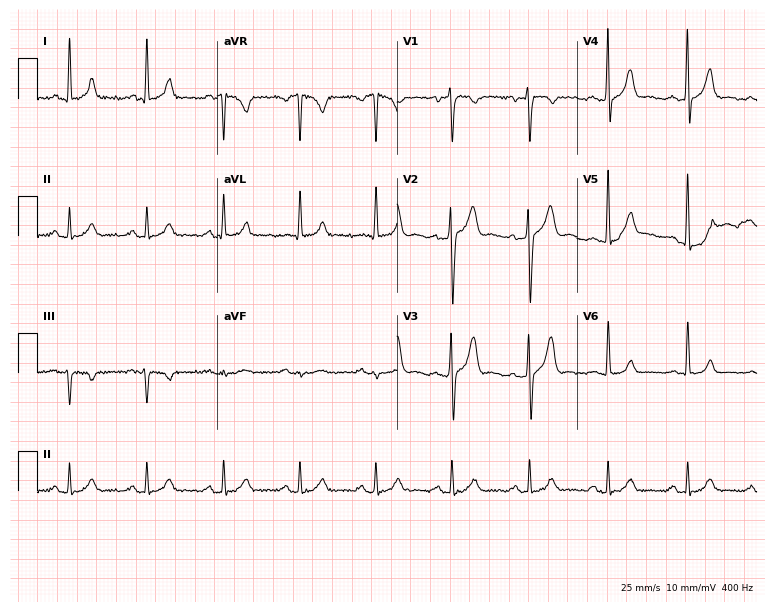
12-lead ECG from a male, 46 years old (7.3-second recording at 400 Hz). No first-degree AV block, right bundle branch block, left bundle branch block, sinus bradycardia, atrial fibrillation or sinus tachycardia recorded for this tracing. Findings outside these six are not listed.